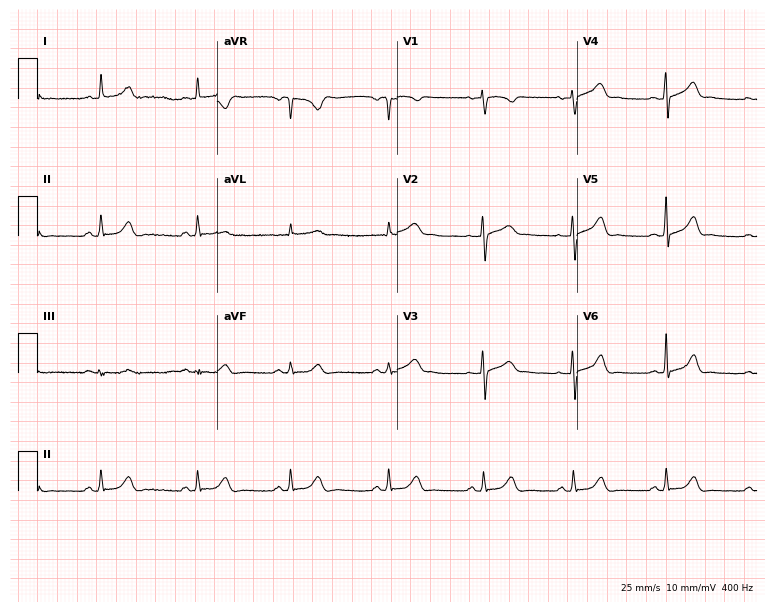
12-lead ECG from a 33-year-old woman (7.3-second recording at 400 Hz). Recorded interpretation: within normal limits.